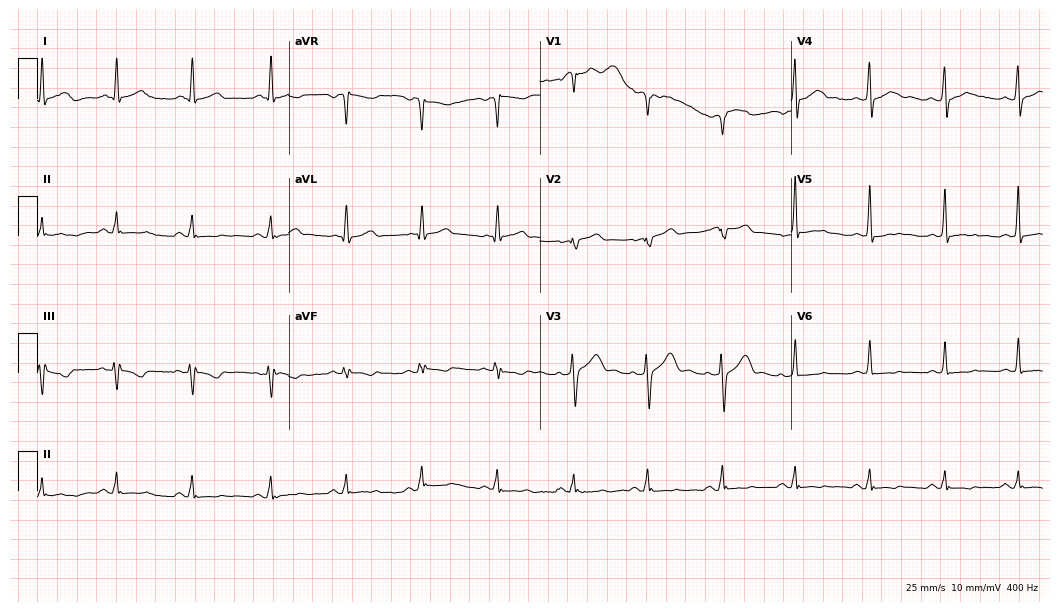
ECG — a 46-year-old male patient. Screened for six findings — first-degree AV block, right bundle branch block, left bundle branch block, sinus bradycardia, atrial fibrillation, sinus tachycardia — none is recorded.